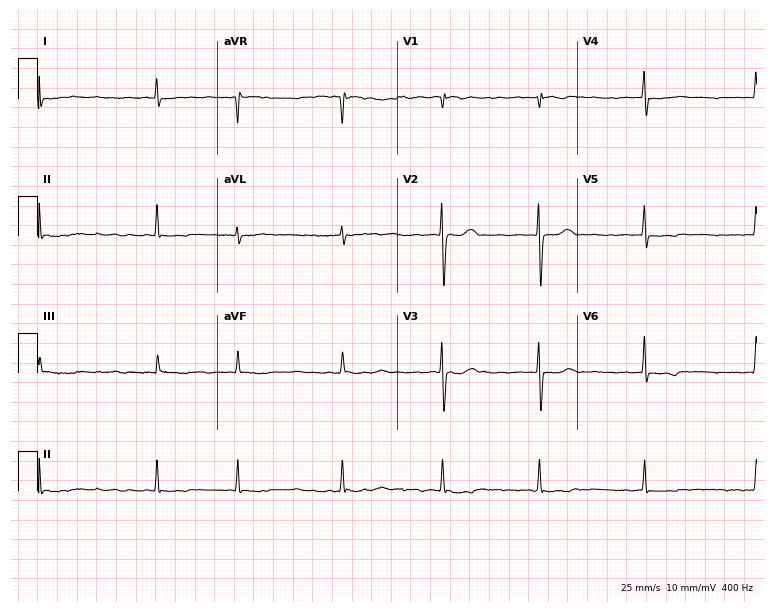
12-lead ECG from an 82-year-old female patient (7.3-second recording at 400 Hz). Shows atrial fibrillation.